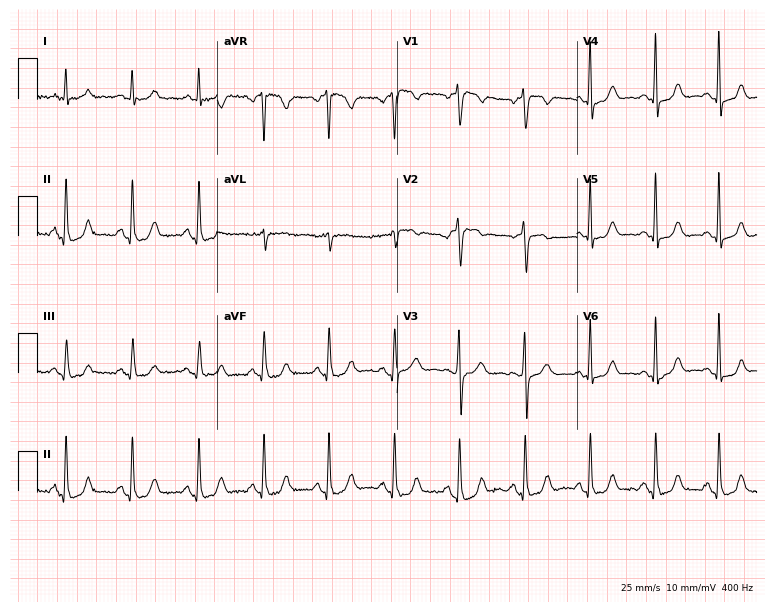
Resting 12-lead electrocardiogram. Patient: a female, 68 years old. None of these six findings is recorded: first-degree AV block, right bundle branch block, left bundle branch block, sinus bradycardia, atrial fibrillation, sinus tachycardia.